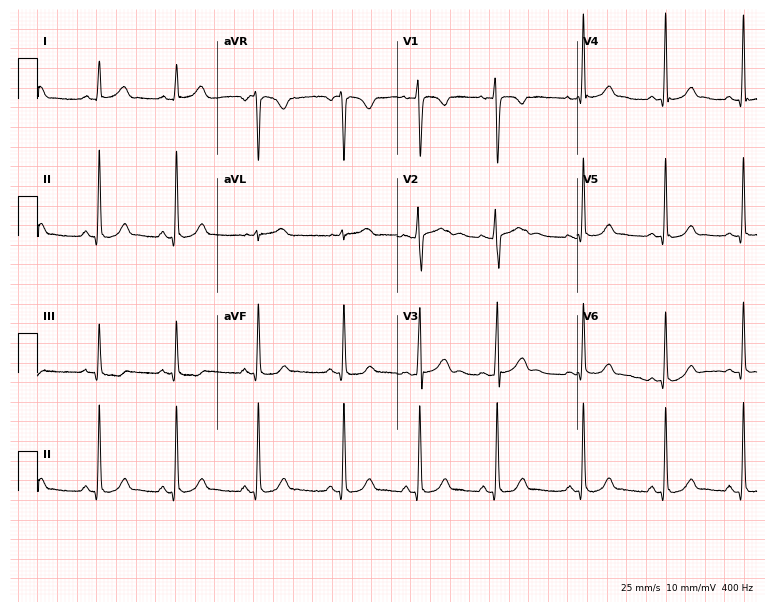
Electrocardiogram (7.3-second recording at 400 Hz), a female patient, 19 years old. Overall reading on record: normal ECG.